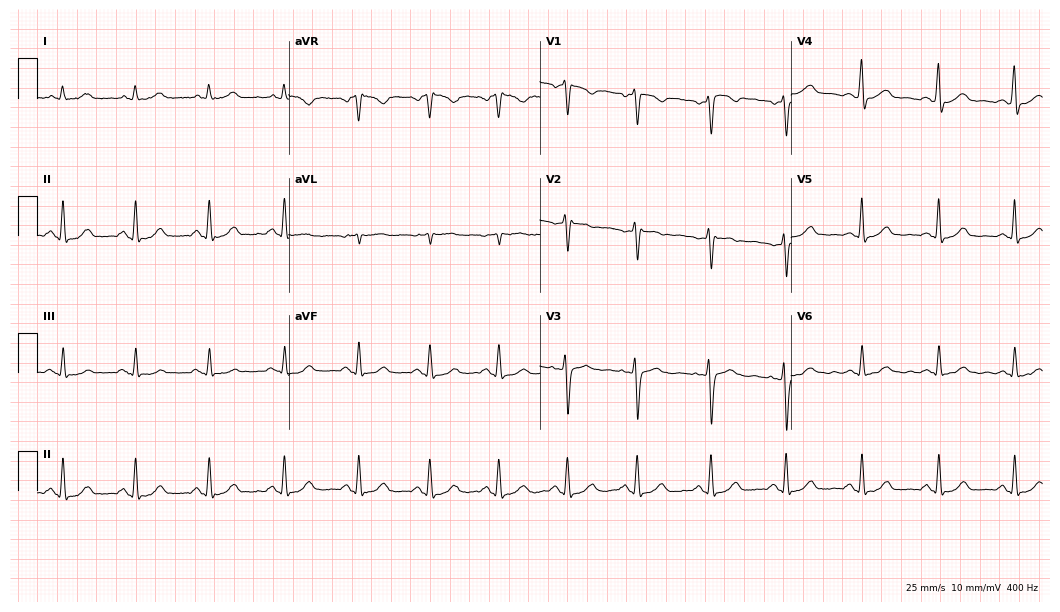
12-lead ECG from a female, 30 years old (10.2-second recording at 400 Hz). Recorded interpretation: within normal limits.